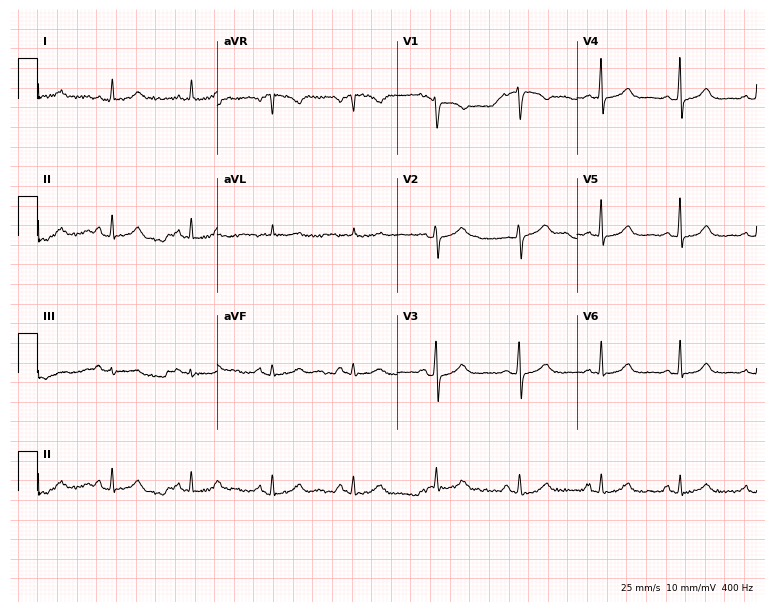
ECG — a 54-year-old woman. Labelled as a normal ECG.